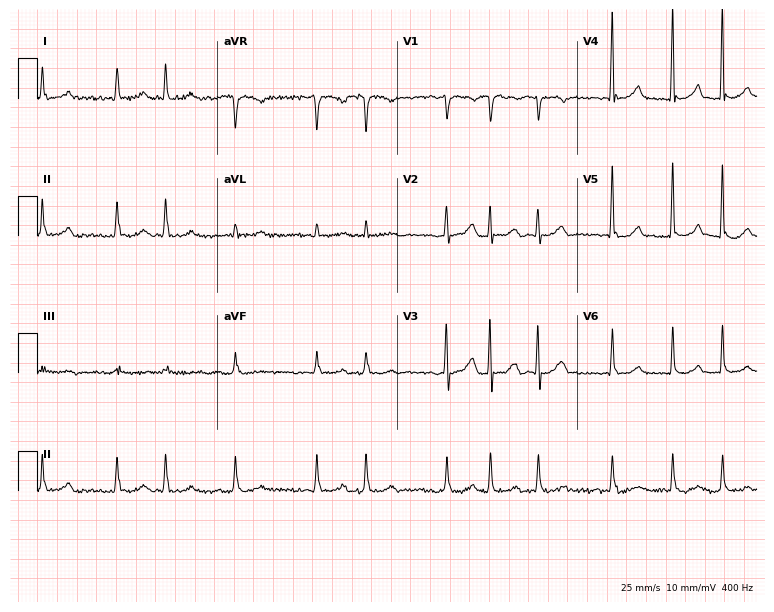
Resting 12-lead electrocardiogram. Patient: a female, 76 years old. The tracing shows atrial fibrillation (AF).